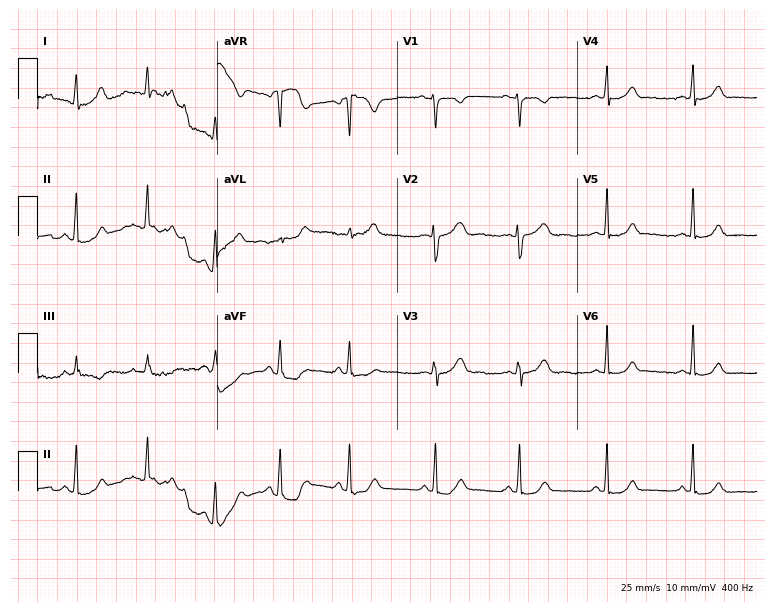
Resting 12-lead electrocardiogram. Patient: a 34-year-old female. Read as a normal ECG.